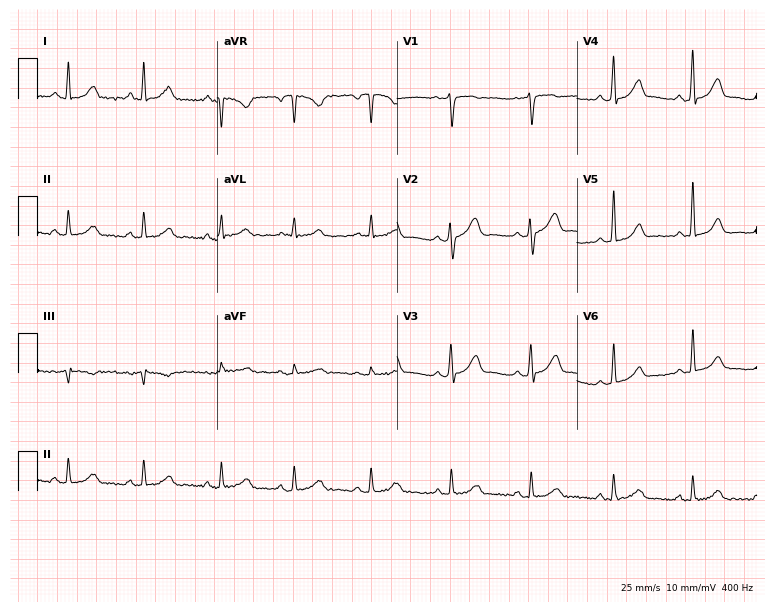
12-lead ECG from a 46-year-old man (7.3-second recording at 400 Hz). No first-degree AV block, right bundle branch block (RBBB), left bundle branch block (LBBB), sinus bradycardia, atrial fibrillation (AF) or sinus tachycardia recorded for this tracing.